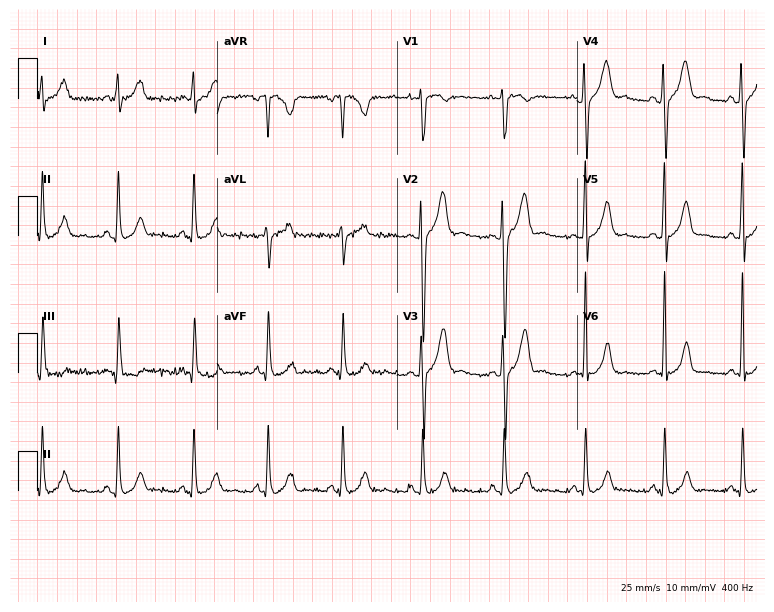
Standard 12-lead ECG recorded from a 27-year-old male (7.3-second recording at 400 Hz). None of these six findings is recorded: first-degree AV block, right bundle branch block (RBBB), left bundle branch block (LBBB), sinus bradycardia, atrial fibrillation (AF), sinus tachycardia.